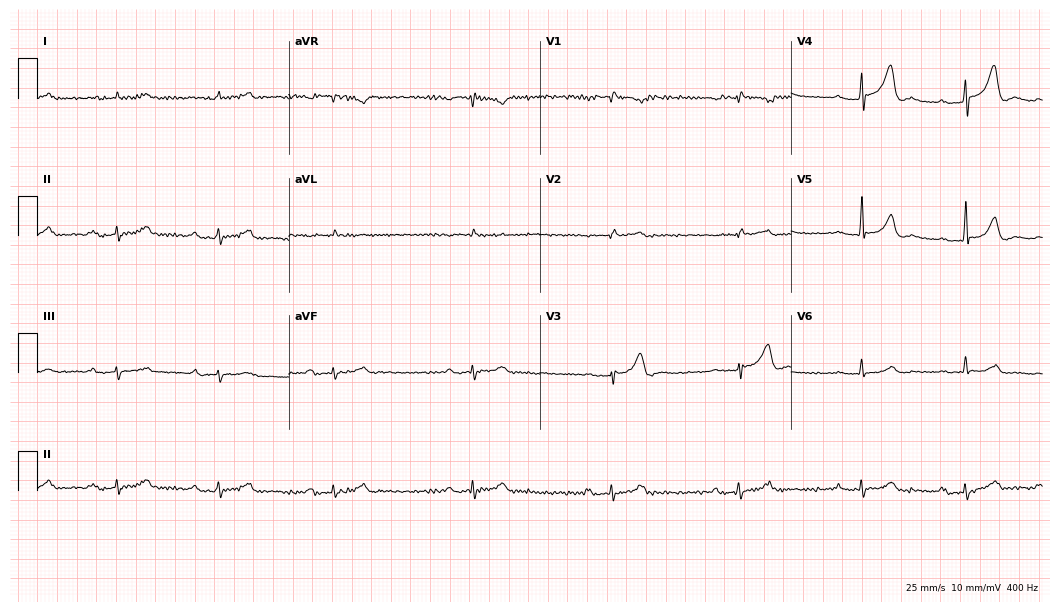
Standard 12-lead ECG recorded from a 75-year-old male patient (10.2-second recording at 400 Hz). The tracing shows first-degree AV block, right bundle branch block.